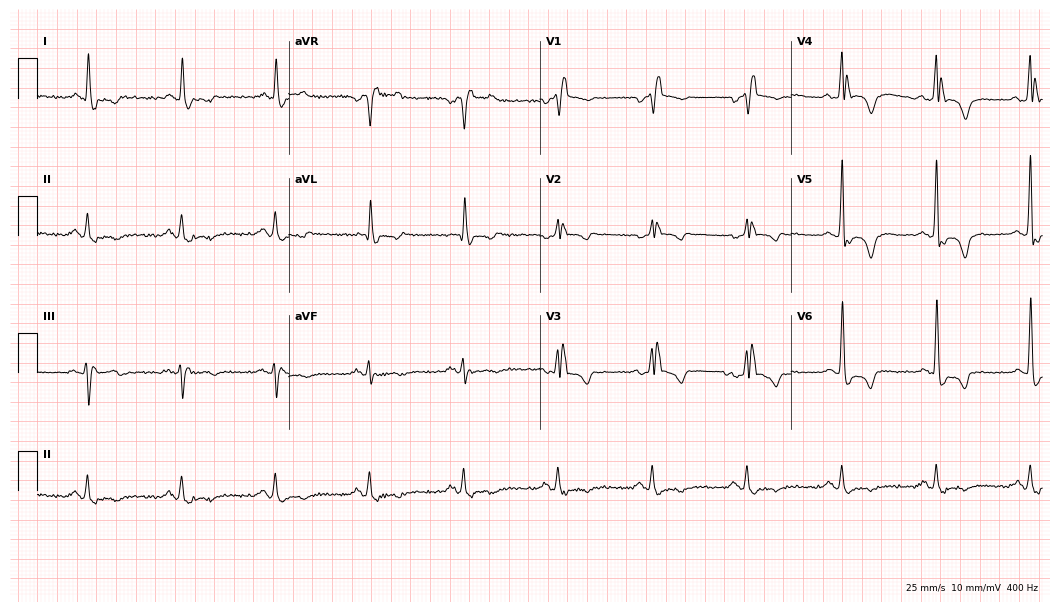
ECG (10.2-second recording at 400 Hz) — a man, 80 years old. Findings include right bundle branch block (RBBB).